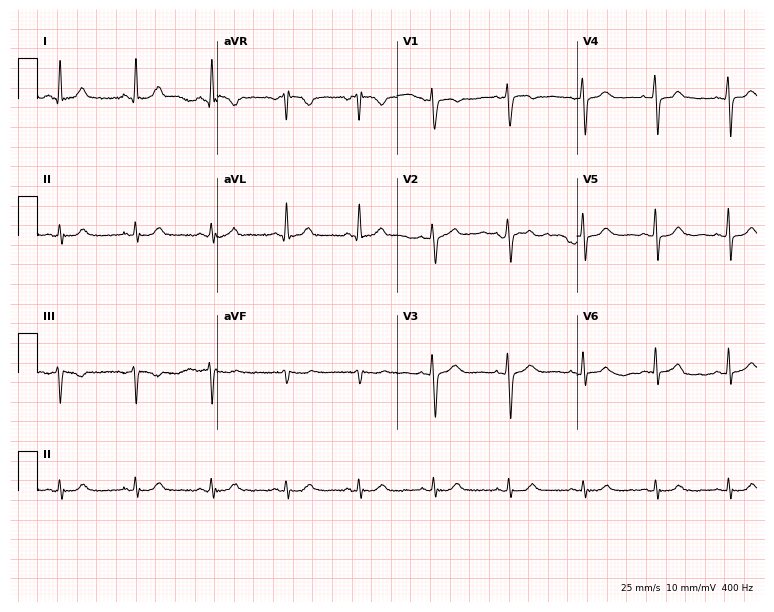
Standard 12-lead ECG recorded from a woman, 59 years old. Read as a normal ECG.